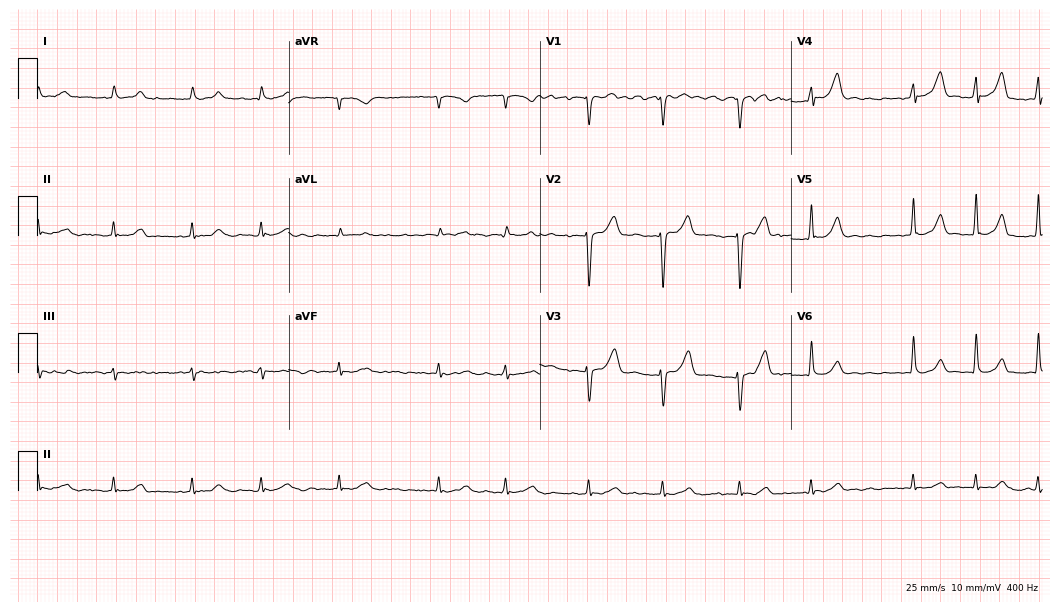
Standard 12-lead ECG recorded from a 60-year-old male patient (10.2-second recording at 400 Hz). The tracing shows atrial fibrillation.